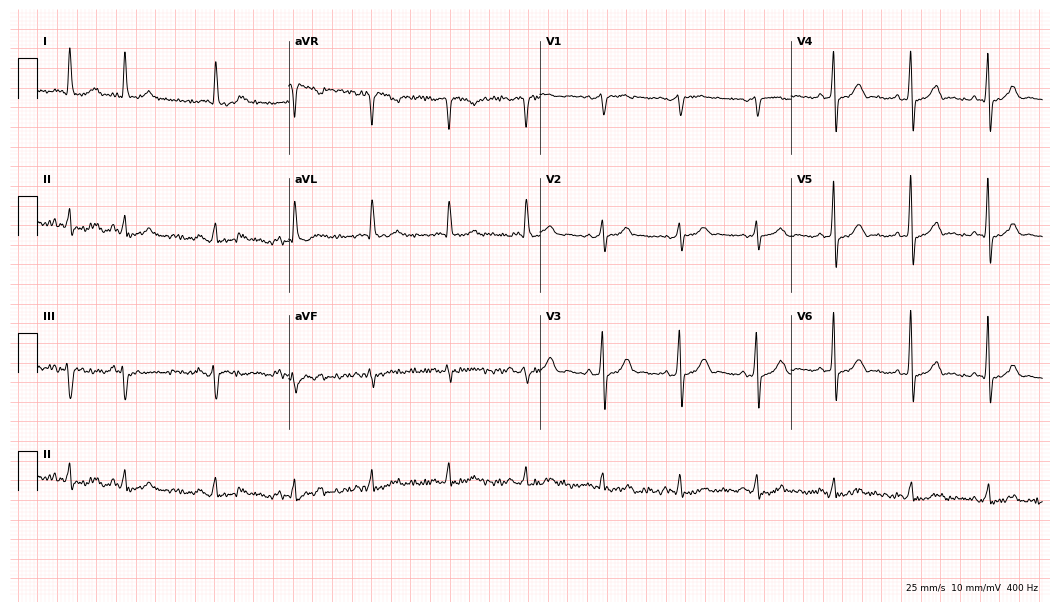
Standard 12-lead ECG recorded from a 79-year-old male (10.2-second recording at 400 Hz). None of these six findings is recorded: first-degree AV block, right bundle branch block (RBBB), left bundle branch block (LBBB), sinus bradycardia, atrial fibrillation (AF), sinus tachycardia.